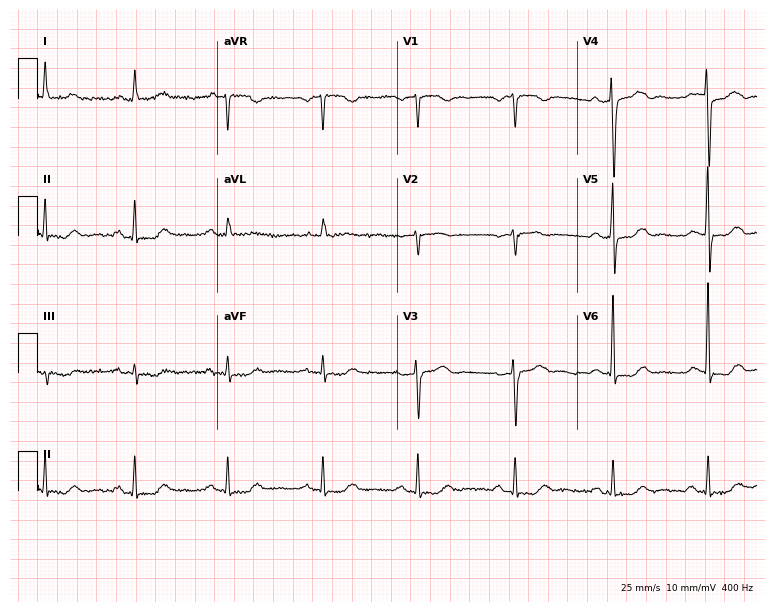
Standard 12-lead ECG recorded from a female, 69 years old (7.3-second recording at 400 Hz). None of these six findings is recorded: first-degree AV block, right bundle branch block, left bundle branch block, sinus bradycardia, atrial fibrillation, sinus tachycardia.